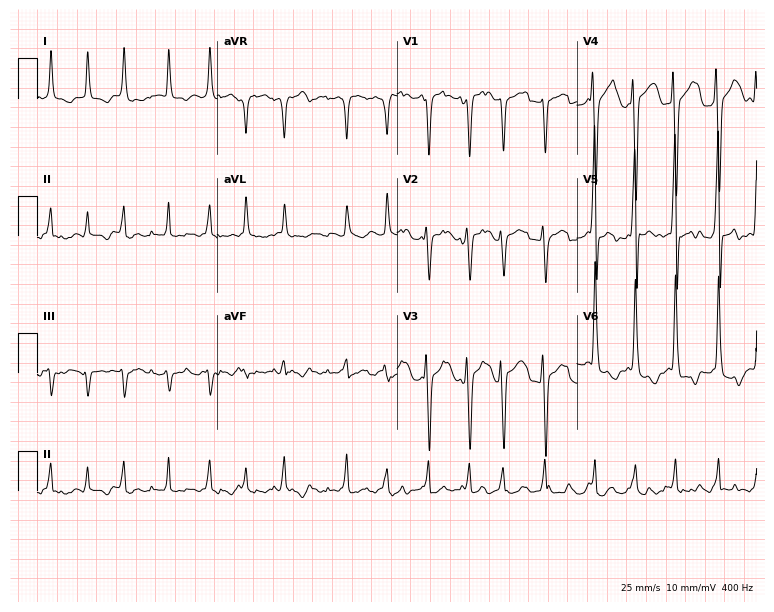
Standard 12-lead ECG recorded from a woman, 57 years old (7.3-second recording at 400 Hz). The tracing shows atrial fibrillation (AF).